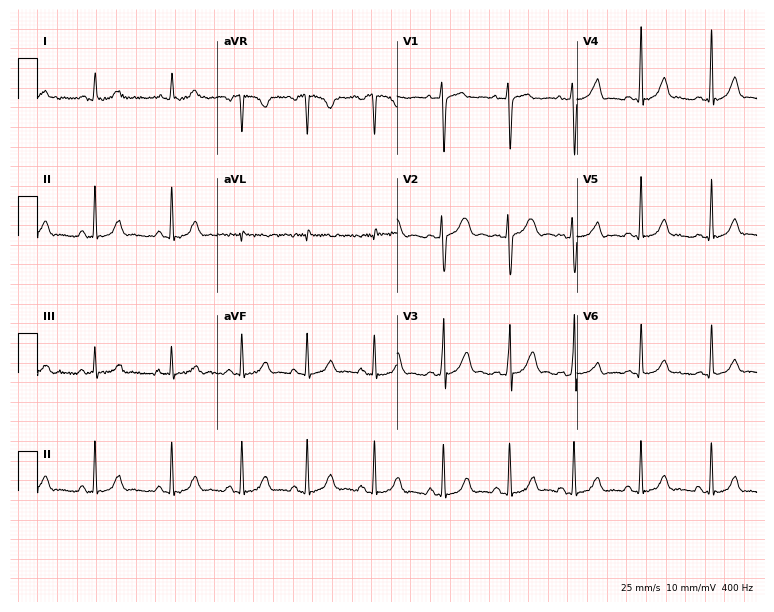
Standard 12-lead ECG recorded from a female patient, 21 years old. None of these six findings is recorded: first-degree AV block, right bundle branch block, left bundle branch block, sinus bradycardia, atrial fibrillation, sinus tachycardia.